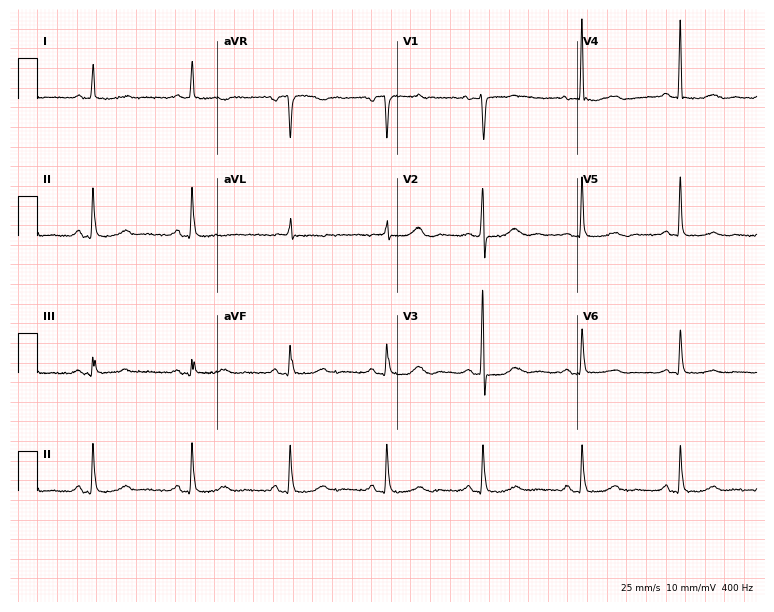
ECG (7.3-second recording at 400 Hz) — a female, 75 years old. Labelled as a normal ECG.